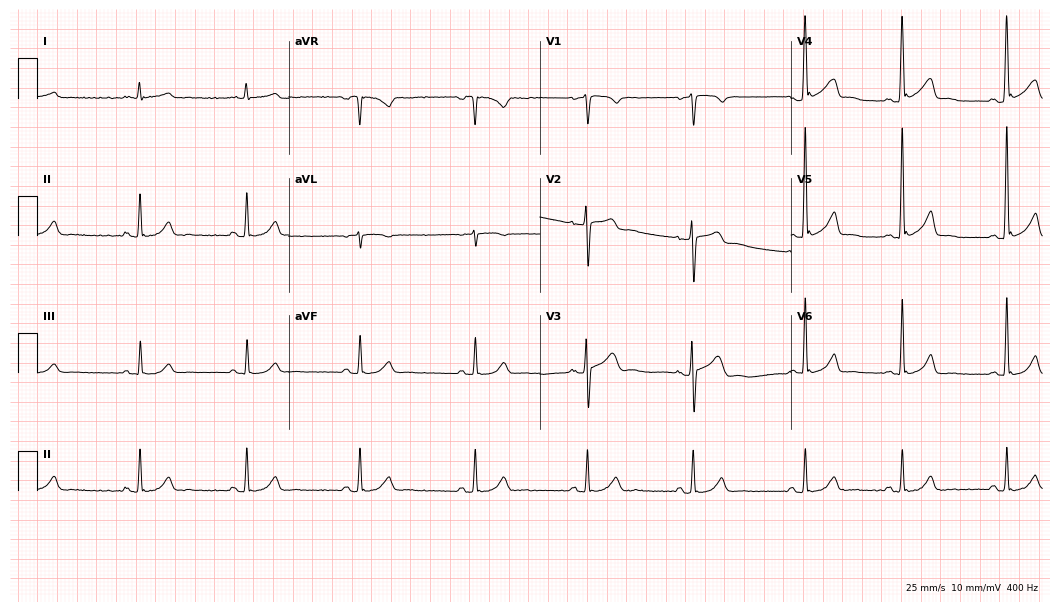
Resting 12-lead electrocardiogram (10.2-second recording at 400 Hz). Patient: a 41-year-old male. None of these six findings is recorded: first-degree AV block, right bundle branch block, left bundle branch block, sinus bradycardia, atrial fibrillation, sinus tachycardia.